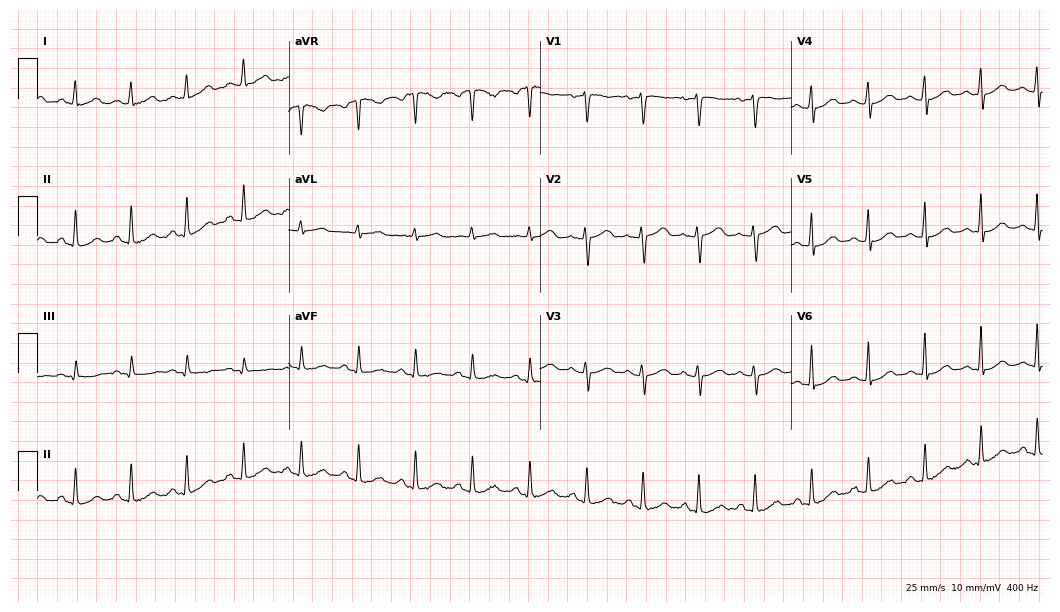
Resting 12-lead electrocardiogram (10.2-second recording at 400 Hz). Patient: a woman, 39 years old. The tracing shows sinus tachycardia (a sinus rate of 100 beats per minute or more).